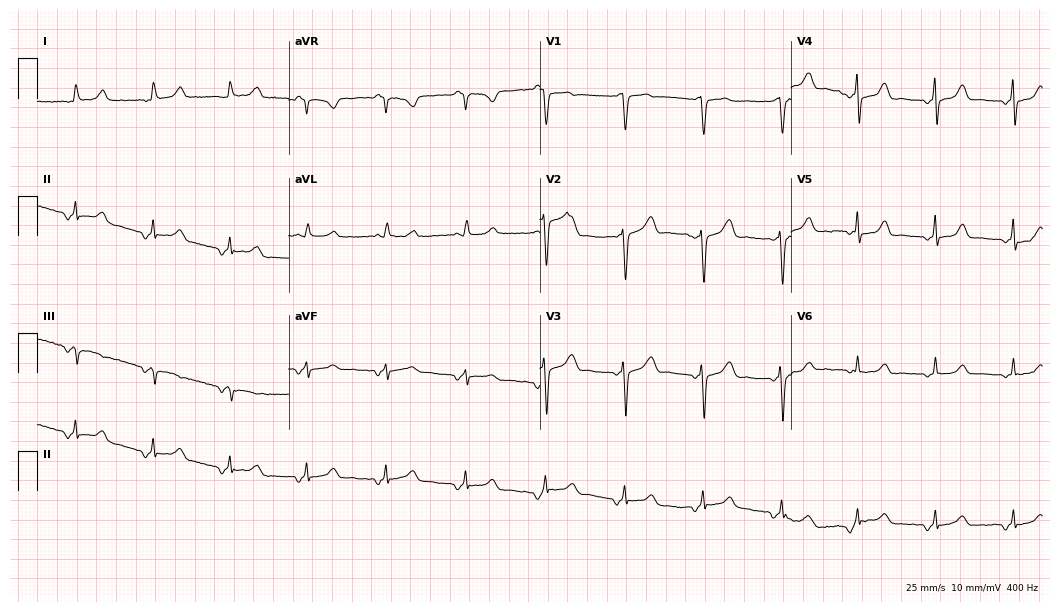
12-lead ECG from a female, 50 years old. No first-degree AV block, right bundle branch block, left bundle branch block, sinus bradycardia, atrial fibrillation or sinus tachycardia recorded for this tracing.